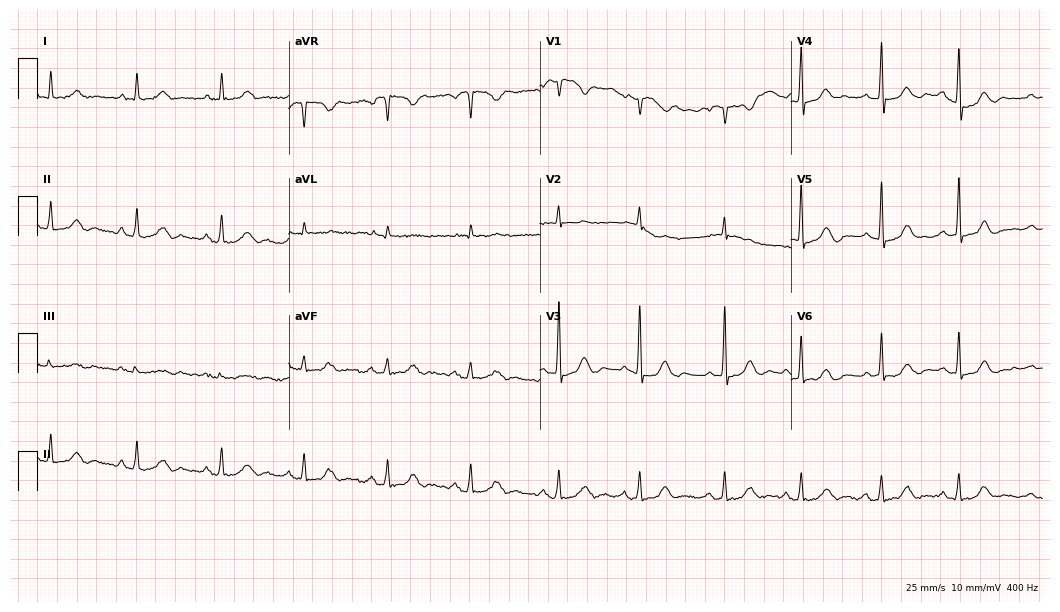
12-lead ECG (10.2-second recording at 400 Hz) from a female patient, 69 years old. Labelled as a normal ECG.